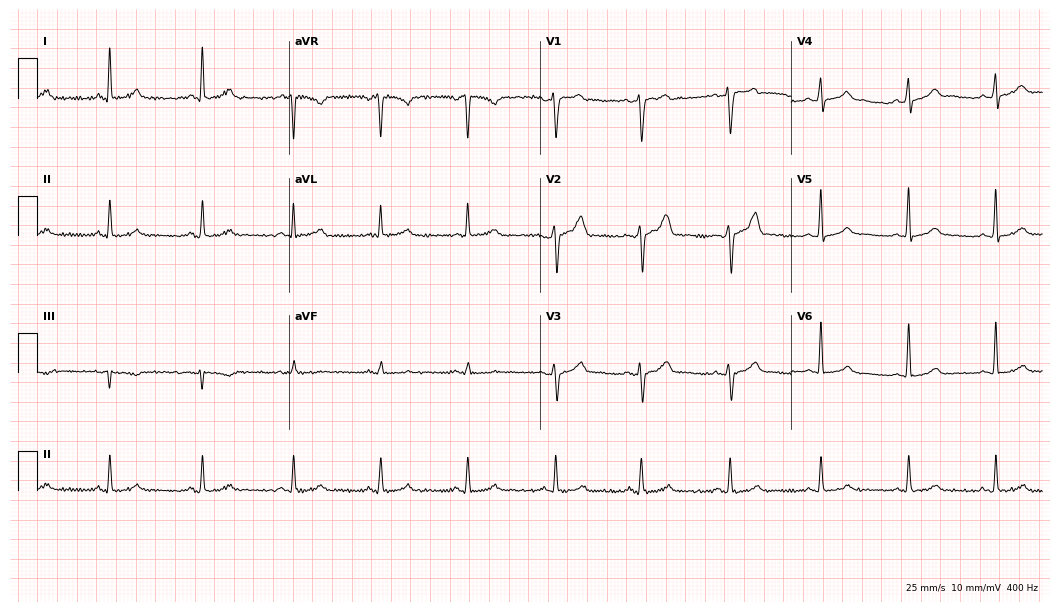
Electrocardiogram (10.2-second recording at 400 Hz), a man, 41 years old. Overall reading on record: normal ECG.